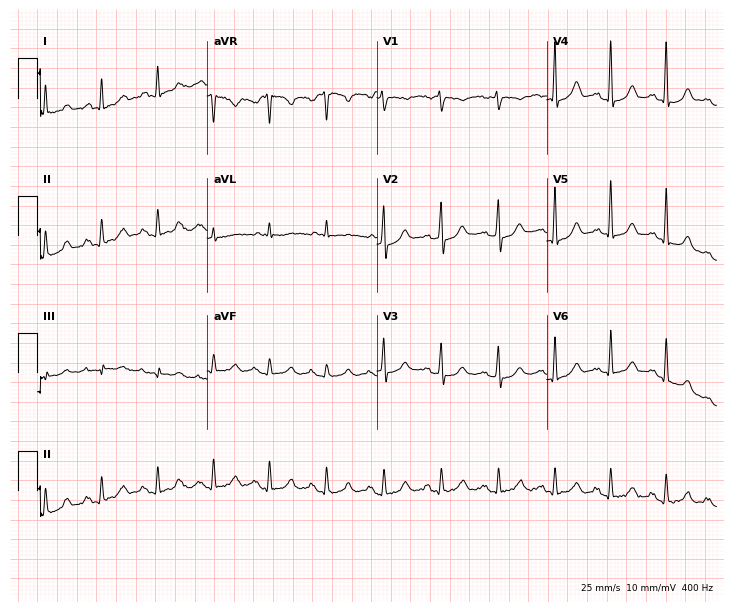
12-lead ECG from a female patient, 43 years old. Findings include sinus tachycardia (a sinus rate of 100 beats per minute or more).